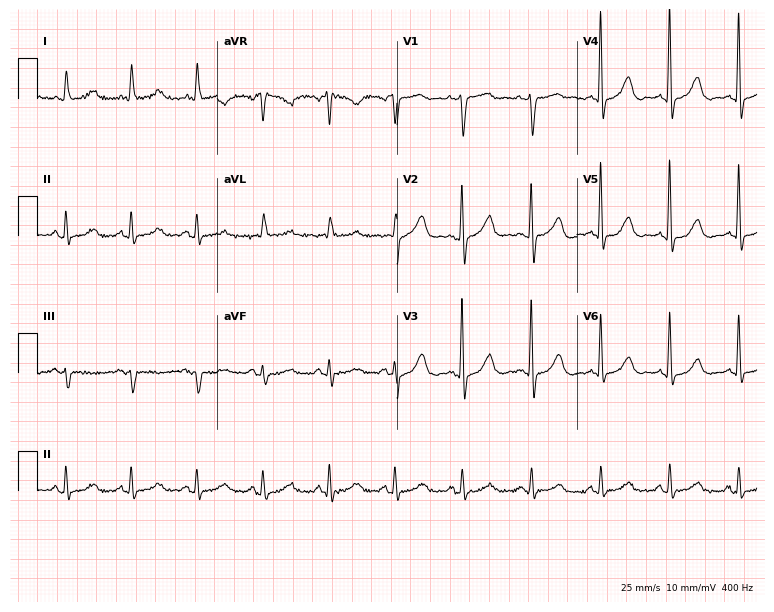
Resting 12-lead electrocardiogram (7.3-second recording at 400 Hz). Patient: a female, 83 years old. Read as a normal ECG.